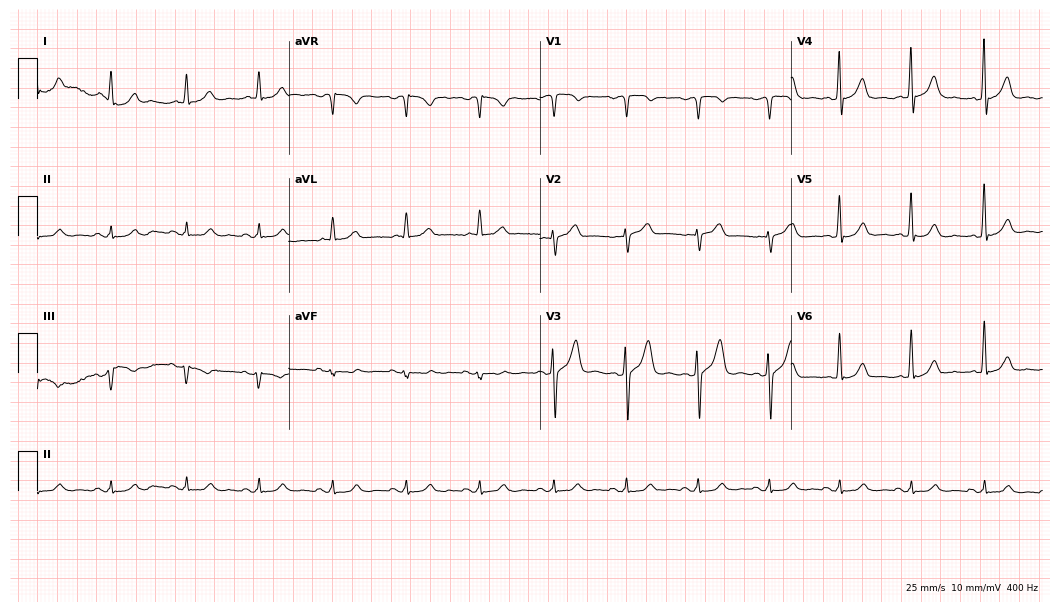
Resting 12-lead electrocardiogram (10.2-second recording at 400 Hz). Patient: a 62-year-old man. Read as a normal ECG.